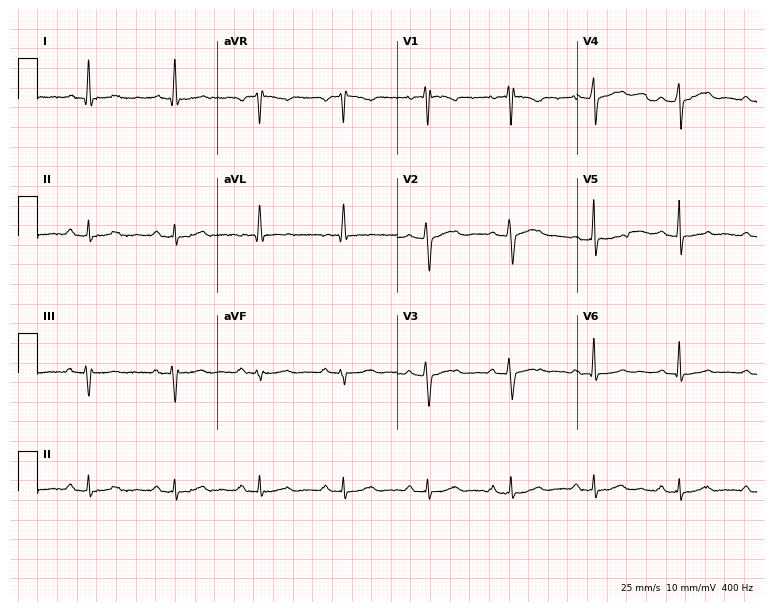
Electrocardiogram (7.3-second recording at 400 Hz), an 80-year-old man. Of the six screened findings (first-degree AV block, right bundle branch block (RBBB), left bundle branch block (LBBB), sinus bradycardia, atrial fibrillation (AF), sinus tachycardia), none is recorded. Only these six findings were labelled.